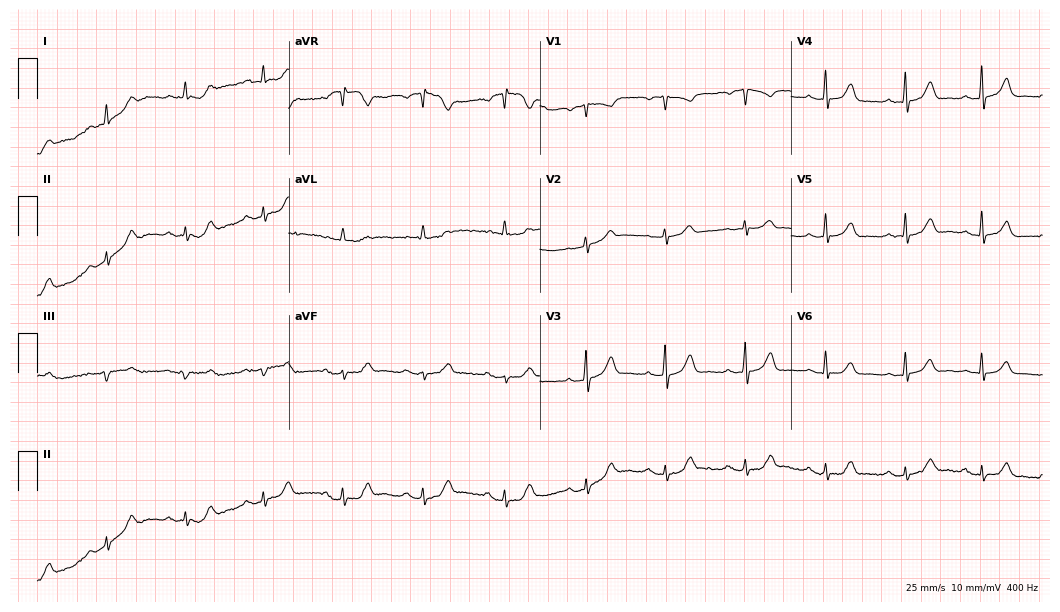
Resting 12-lead electrocardiogram (10.2-second recording at 400 Hz). Patient: a 46-year-old female. None of these six findings is recorded: first-degree AV block, right bundle branch block, left bundle branch block, sinus bradycardia, atrial fibrillation, sinus tachycardia.